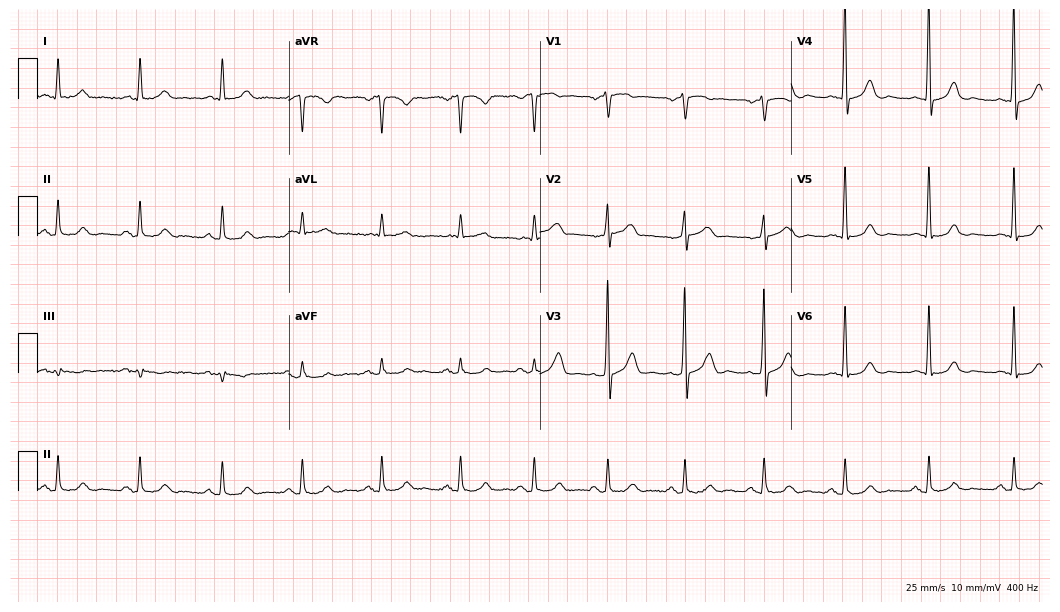
Standard 12-lead ECG recorded from a 66-year-old male. None of these six findings is recorded: first-degree AV block, right bundle branch block (RBBB), left bundle branch block (LBBB), sinus bradycardia, atrial fibrillation (AF), sinus tachycardia.